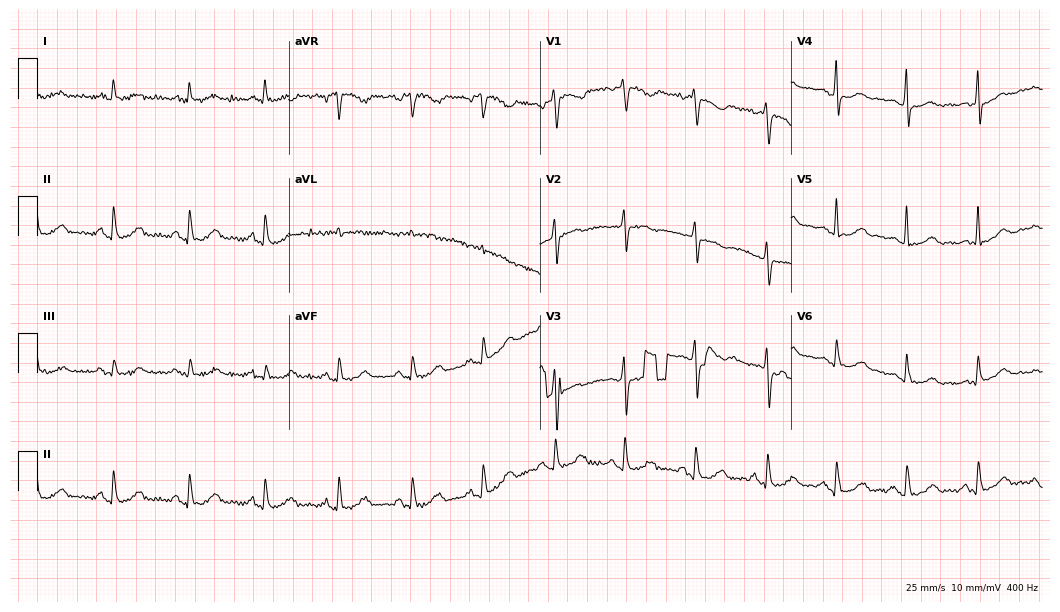
Resting 12-lead electrocardiogram (10.2-second recording at 400 Hz). Patient: a female, 66 years old. None of these six findings is recorded: first-degree AV block, right bundle branch block, left bundle branch block, sinus bradycardia, atrial fibrillation, sinus tachycardia. Only these six findings were labelled.